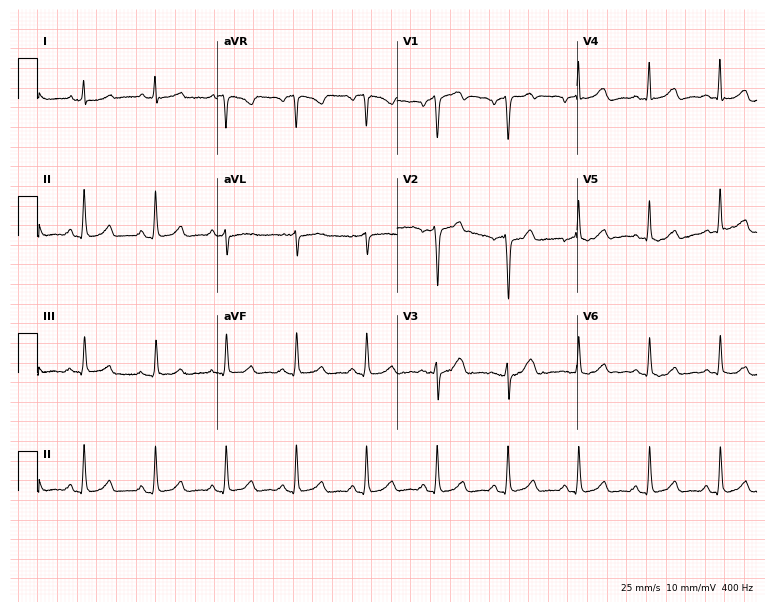
Standard 12-lead ECG recorded from a 45-year-old male. Read as a normal ECG.